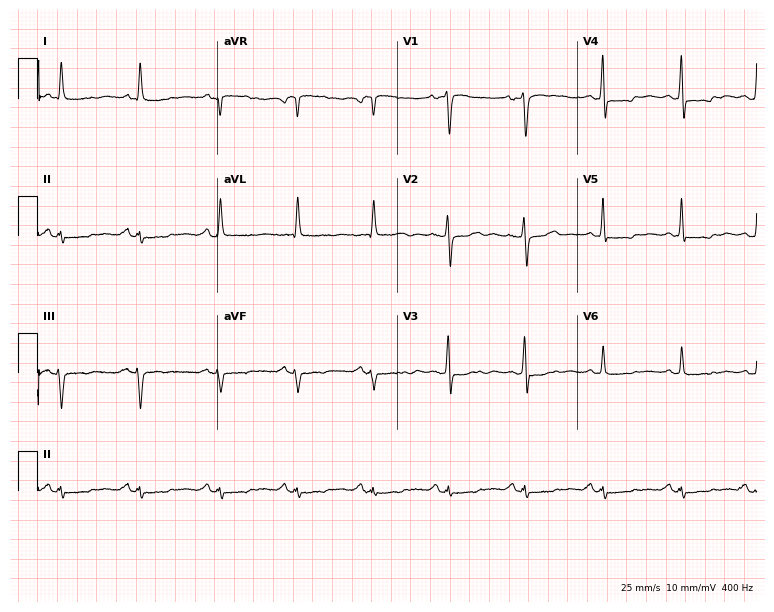
ECG — a female patient, 58 years old. Screened for six findings — first-degree AV block, right bundle branch block (RBBB), left bundle branch block (LBBB), sinus bradycardia, atrial fibrillation (AF), sinus tachycardia — none is recorded.